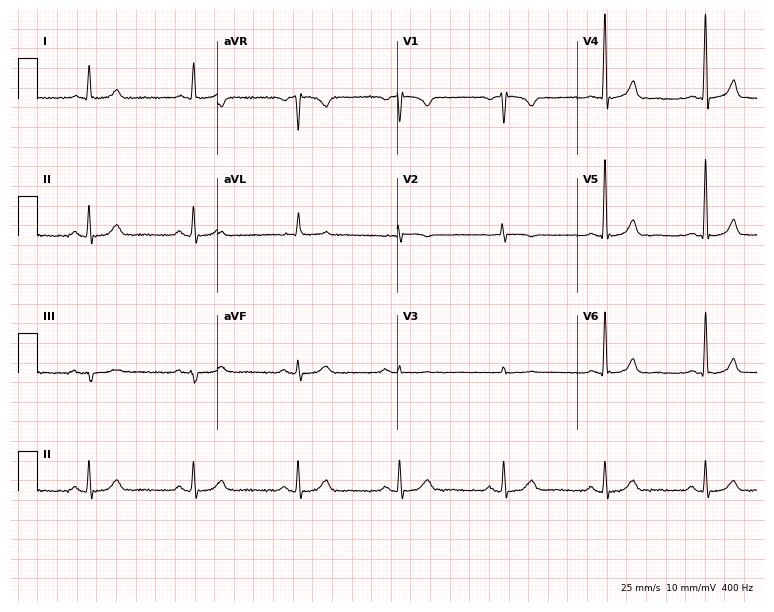
ECG — a 55-year-old female. Labelled as a normal ECG.